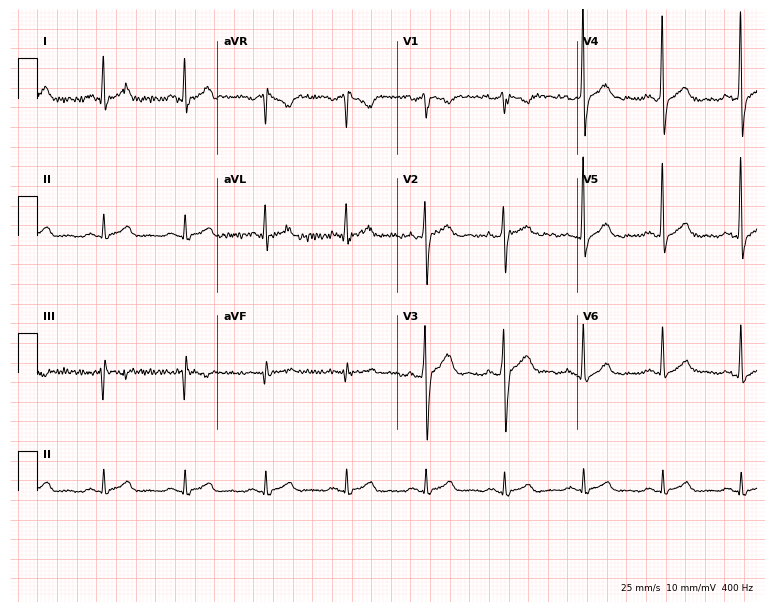
12-lead ECG from a 39-year-old female patient. Labelled as a normal ECG.